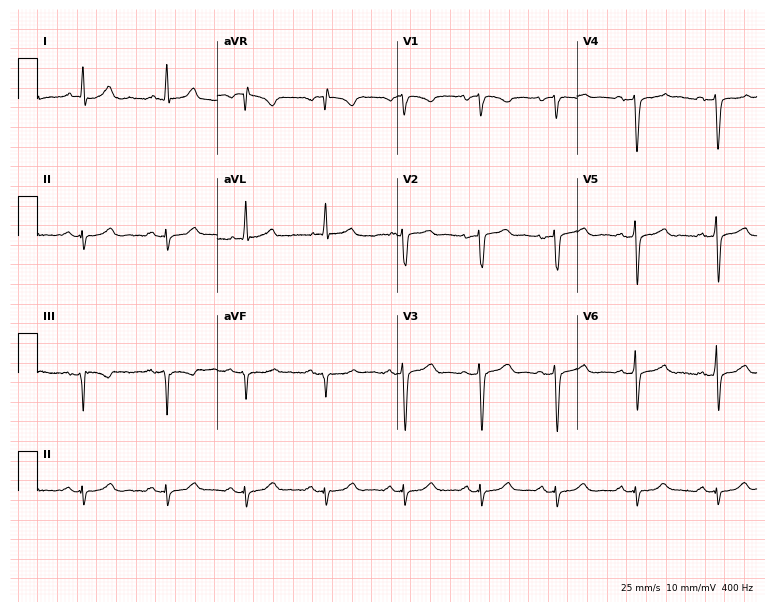
Electrocardiogram (7.3-second recording at 400 Hz), a 53-year-old man. Of the six screened findings (first-degree AV block, right bundle branch block (RBBB), left bundle branch block (LBBB), sinus bradycardia, atrial fibrillation (AF), sinus tachycardia), none is recorded.